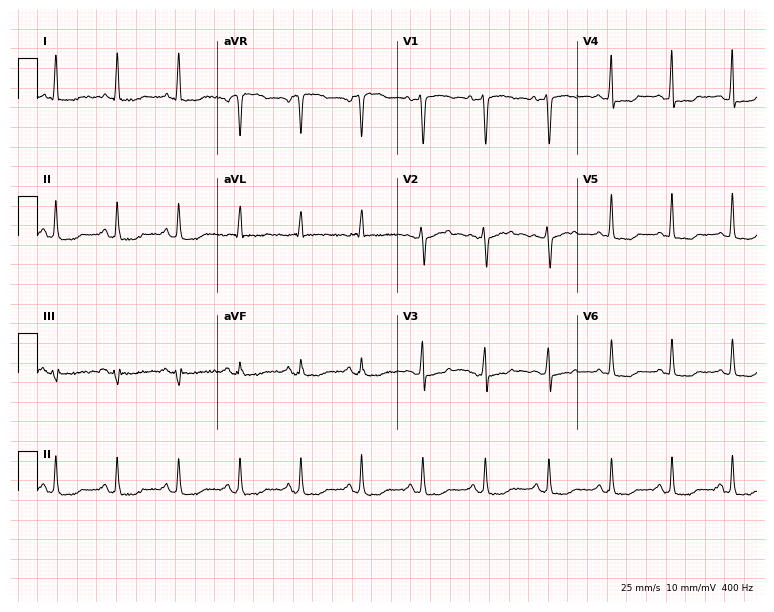
12-lead ECG from a female patient, 45 years old. No first-degree AV block, right bundle branch block, left bundle branch block, sinus bradycardia, atrial fibrillation or sinus tachycardia recorded for this tracing. Findings outside these six are not listed.